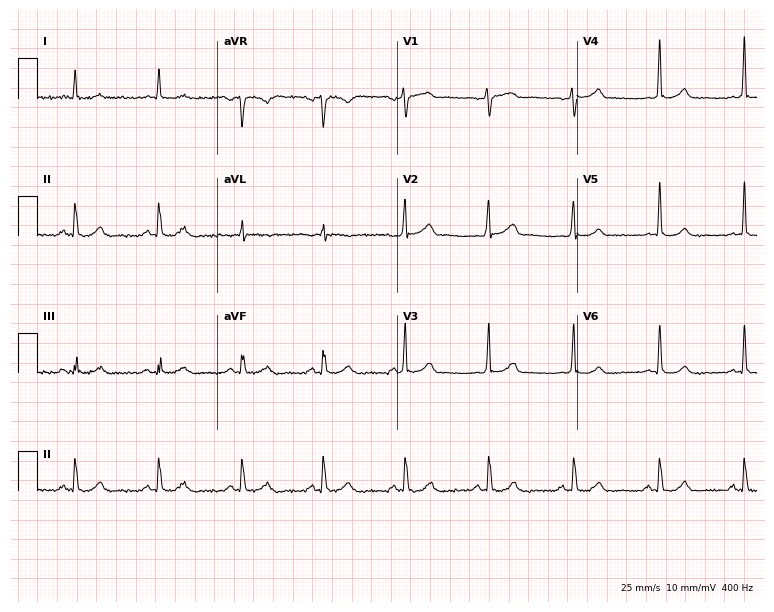
Standard 12-lead ECG recorded from a male patient, 63 years old. None of these six findings is recorded: first-degree AV block, right bundle branch block (RBBB), left bundle branch block (LBBB), sinus bradycardia, atrial fibrillation (AF), sinus tachycardia. Only these six findings were labelled.